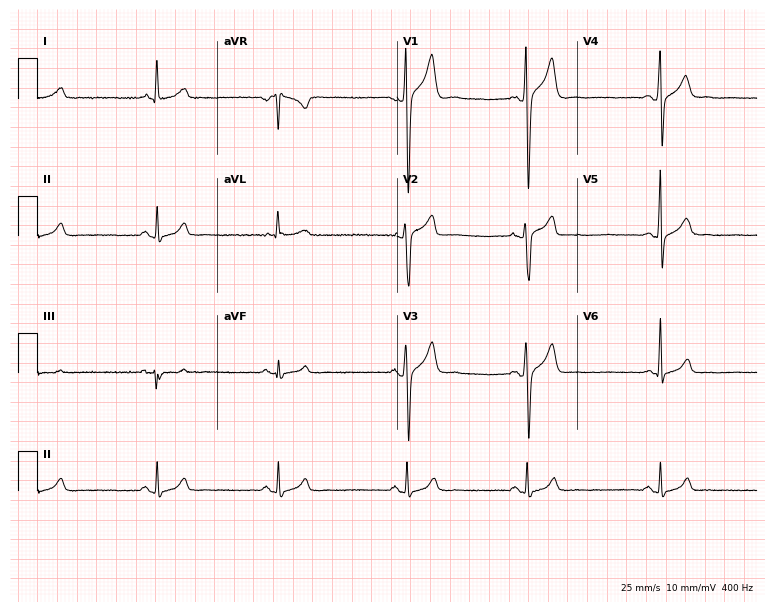
ECG — a 24-year-old male. Findings include sinus bradycardia (a sinus rate of 50 beats per minute or less).